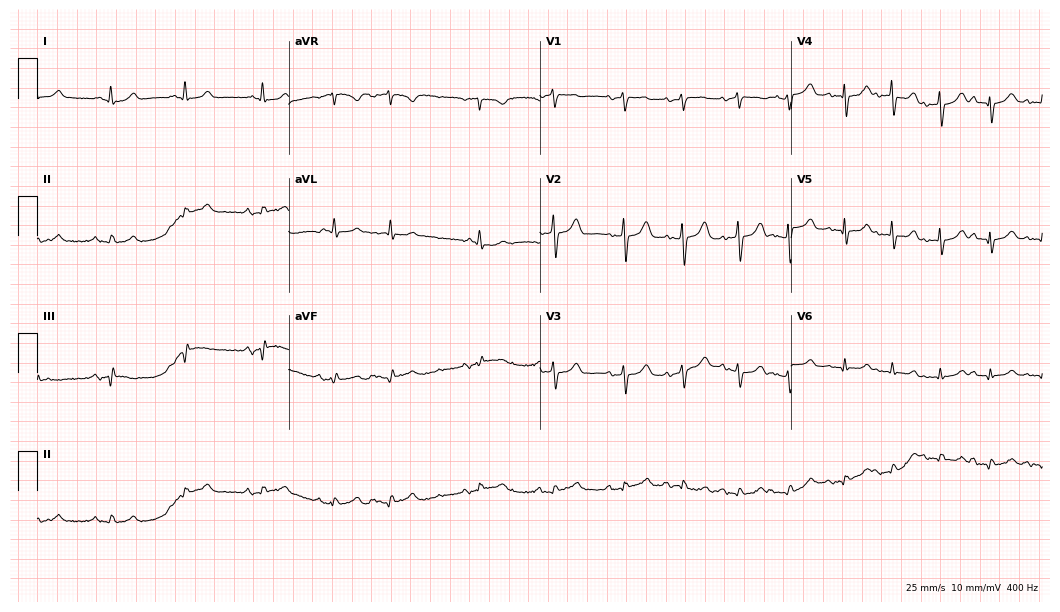
ECG — a female, 78 years old. Labelled as a normal ECG.